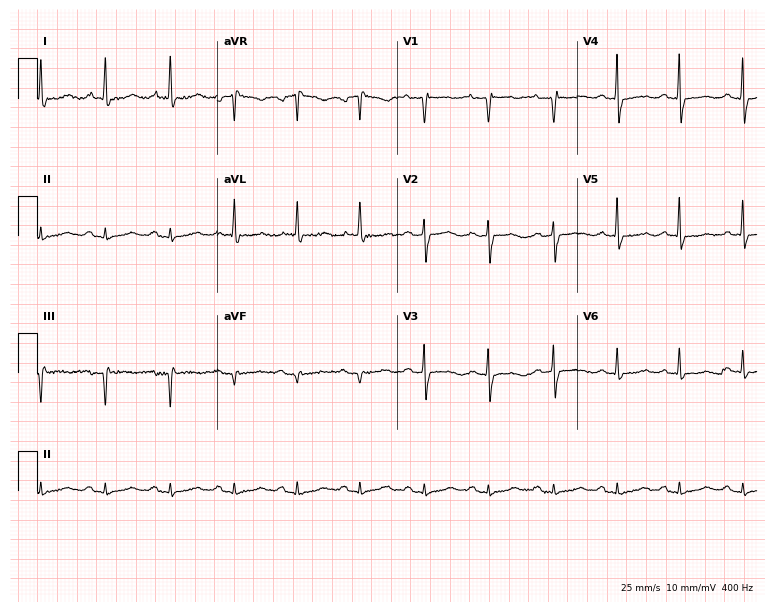
12-lead ECG from a woman, 75 years old (7.3-second recording at 400 Hz). No first-degree AV block, right bundle branch block (RBBB), left bundle branch block (LBBB), sinus bradycardia, atrial fibrillation (AF) or sinus tachycardia recorded for this tracing. Findings outside these six are not listed.